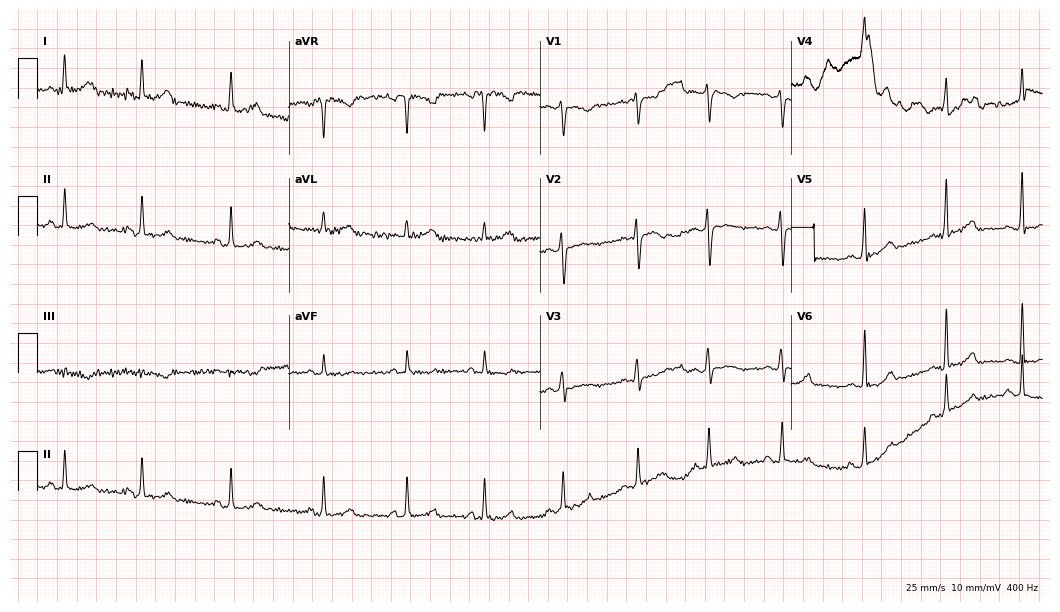
Electrocardiogram, a 17-year-old female. Overall reading on record: normal ECG.